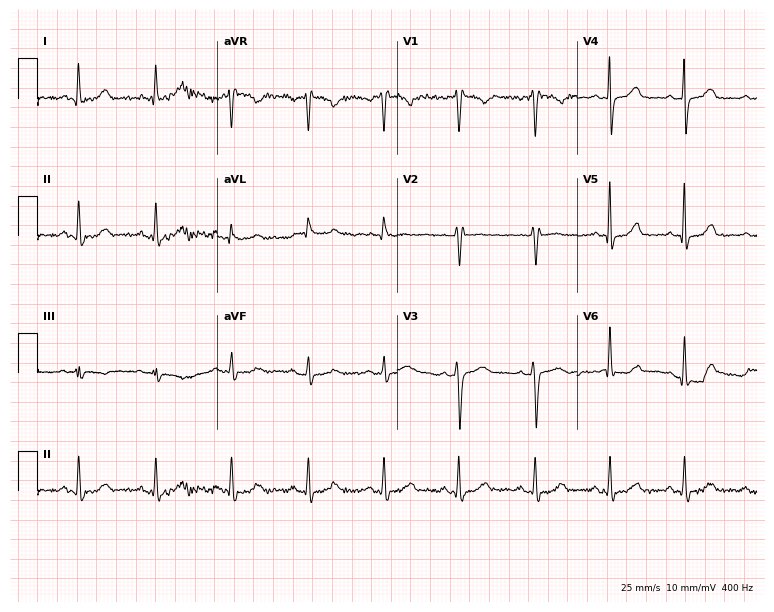
Standard 12-lead ECG recorded from a 42-year-old female (7.3-second recording at 400 Hz). None of these six findings is recorded: first-degree AV block, right bundle branch block, left bundle branch block, sinus bradycardia, atrial fibrillation, sinus tachycardia. Findings outside these six are not listed.